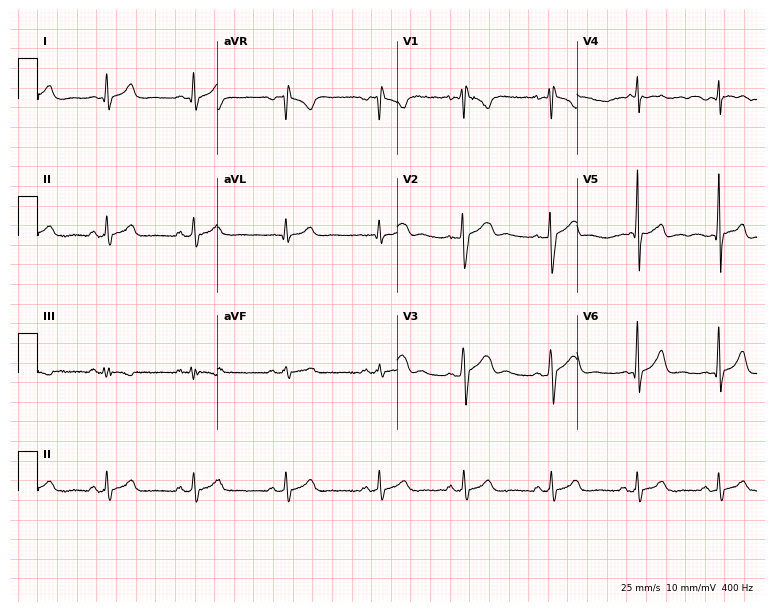
Electrocardiogram, an 18-year-old male. Overall reading on record: normal ECG.